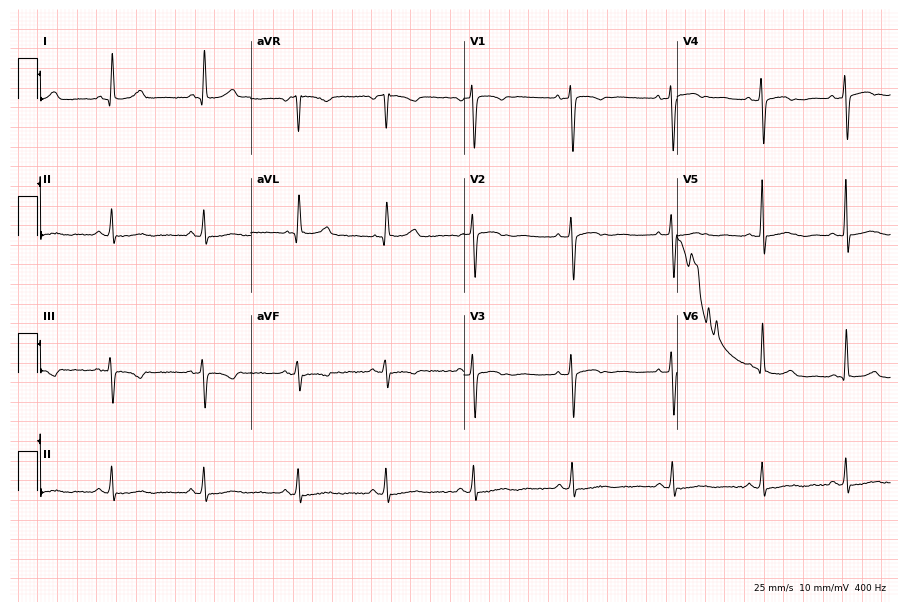
Standard 12-lead ECG recorded from a 31-year-old female patient. None of these six findings is recorded: first-degree AV block, right bundle branch block, left bundle branch block, sinus bradycardia, atrial fibrillation, sinus tachycardia.